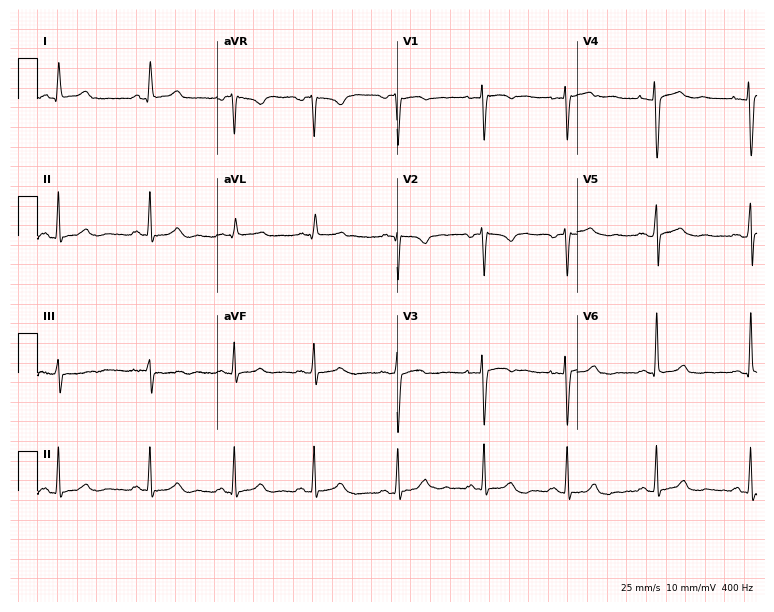
ECG — a 33-year-old female. Labelled as a normal ECG.